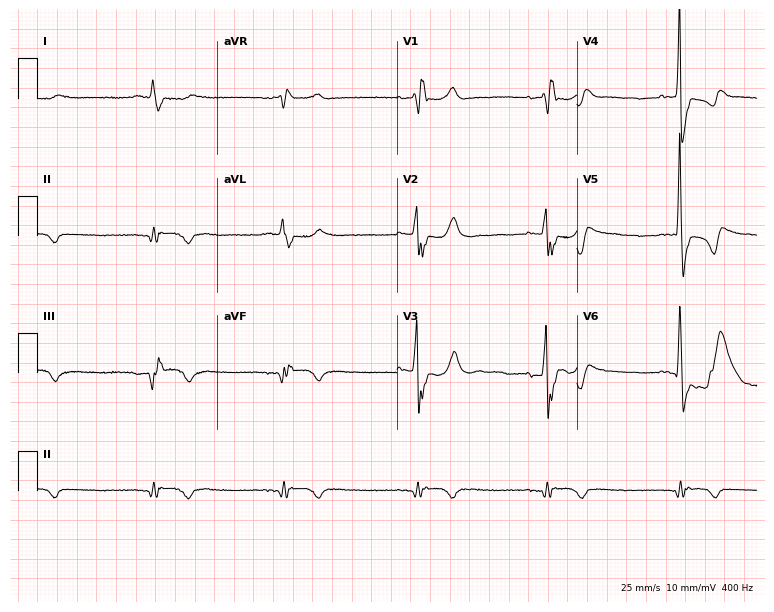
12-lead ECG from an 85-year-old male. Screened for six findings — first-degree AV block, right bundle branch block, left bundle branch block, sinus bradycardia, atrial fibrillation, sinus tachycardia — none is recorded. Only these six findings were labelled.